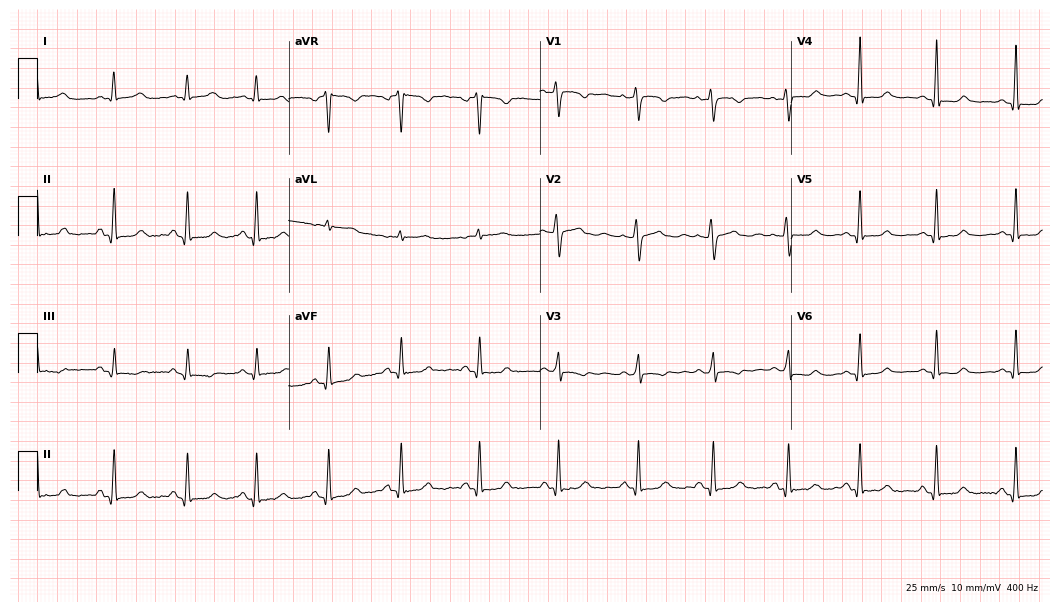
12-lead ECG from a 46-year-old female. Screened for six findings — first-degree AV block, right bundle branch block (RBBB), left bundle branch block (LBBB), sinus bradycardia, atrial fibrillation (AF), sinus tachycardia — none is recorded.